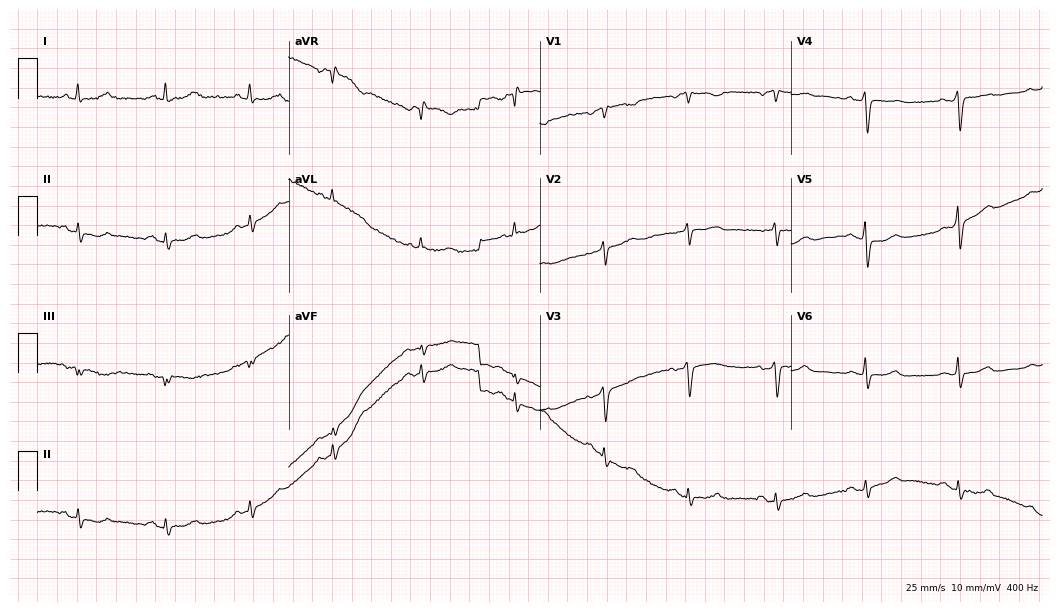
12-lead ECG from a 63-year-old woman (10.2-second recording at 400 Hz). No first-degree AV block, right bundle branch block (RBBB), left bundle branch block (LBBB), sinus bradycardia, atrial fibrillation (AF) or sinus tachycardia recorded for this tracing. Findings outside these six are not listed.